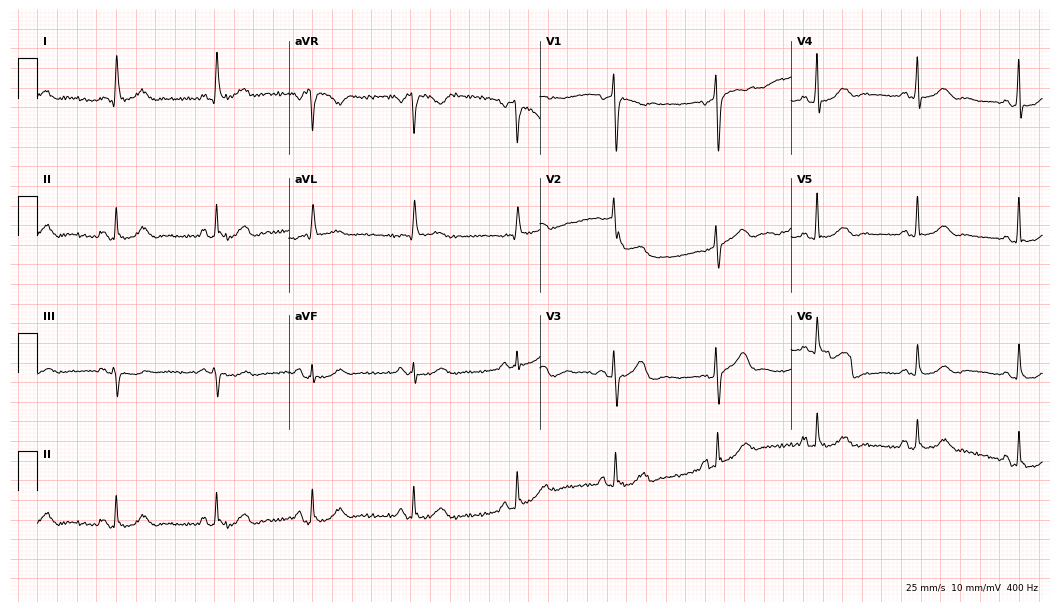
Electrocardiogram (10.2-second recording at 400 Hz), a female, 75 years old. Overall reading on record: normal ECG.